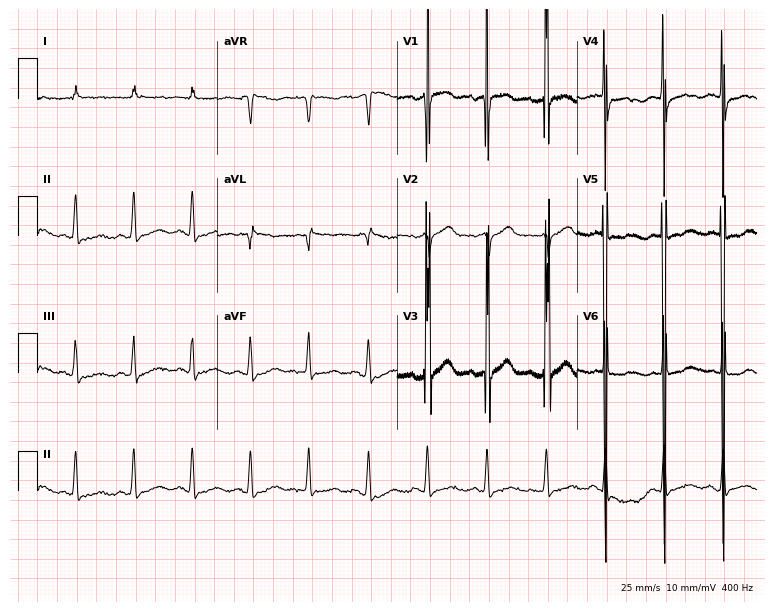
Standard 12-lead ECG recorded from a female patient, 85 years old. None of these six findings is recorded: first-degree AV block, right bundle branch block, left bundle branch block, sinus bradycardia, atrial fibrillation, sinus tachycardia. Other findings, if any, are not listed.